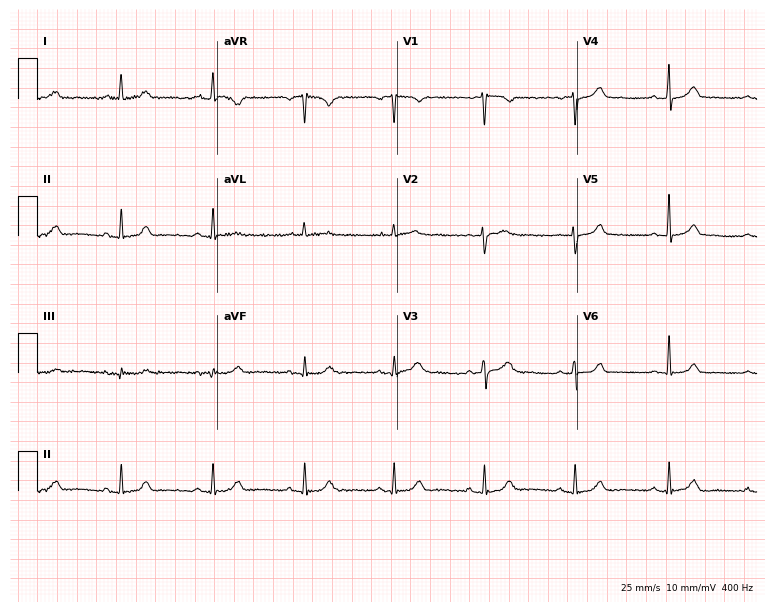
ECG (7.3-second recording at 400 Hz) — a woman, 45 years old. Labelled as a normal ECG.